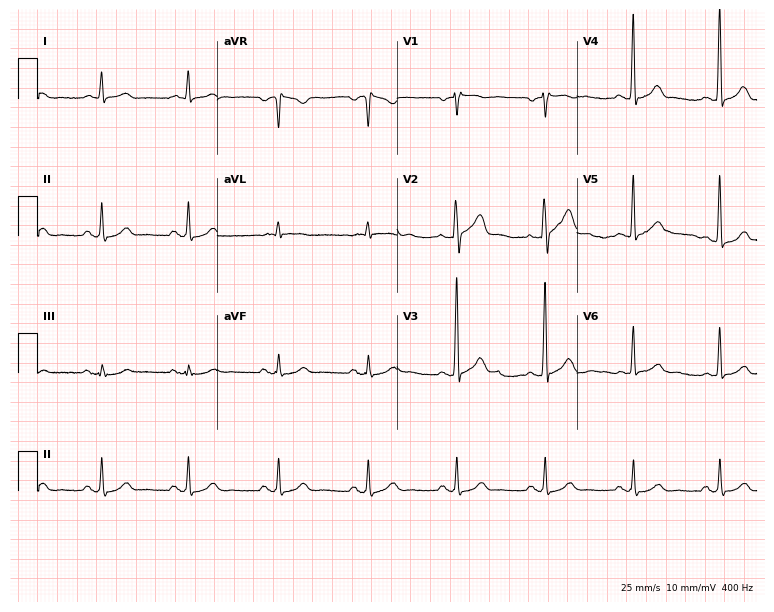
Electrocardiogram (7.3-second recording at 400 Hz), a 64-year-old female patient. Overall reading on record: normal ECG.